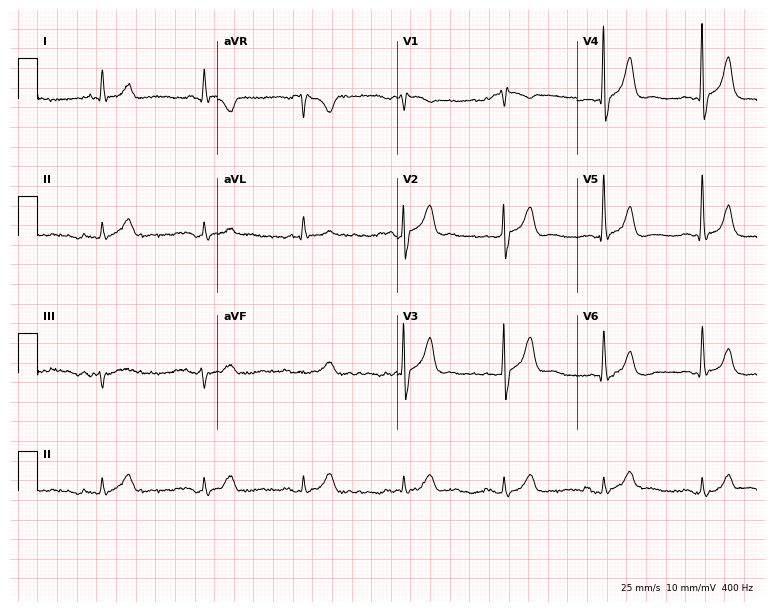
ECG (7.3-second recording at 400 Hz) — a male, 73 years old. Screened for six findings — first-degree AV block, right bundle branch block (RBBB), left bundle branch block (LBBB), sinus bradycardia, atrial fibrillation (AF), sinus tachycardia — none is recorded.